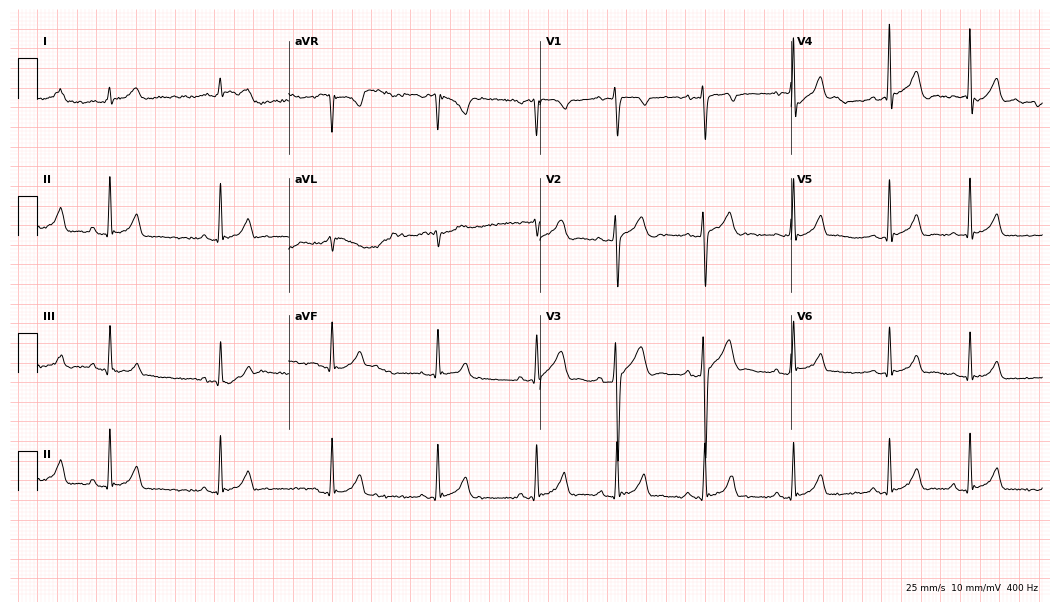
Resting 12-lead electrocardiogram. Patient: a 20-year-old man. None of these six findings is recorded: first-degree AV block, right bundle branch block, left bundle branch block, sinus bradycardia, atrial fibrillation, sinus tachycardia. Only these six findings were labelled.